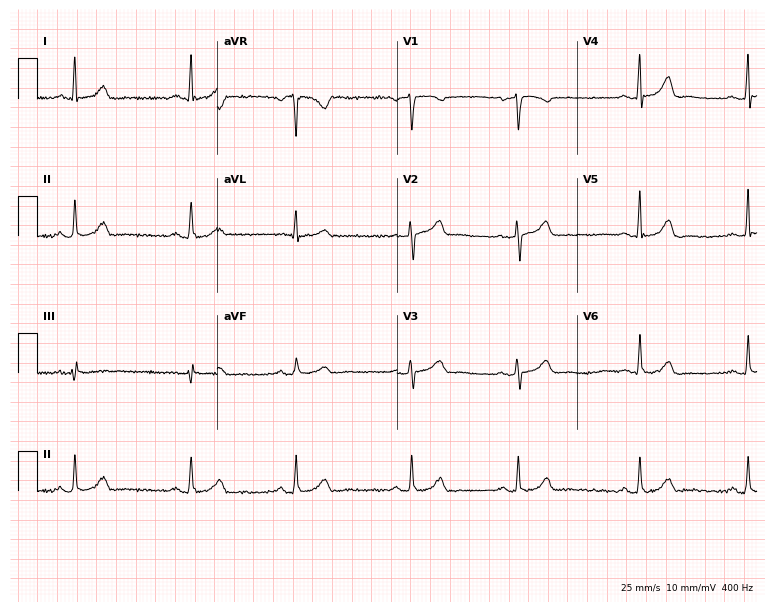
Electrocardiogram (7.3-second recording at 400 Hz), a female patient, 42 years old. Overall reading on record: normal ECG.